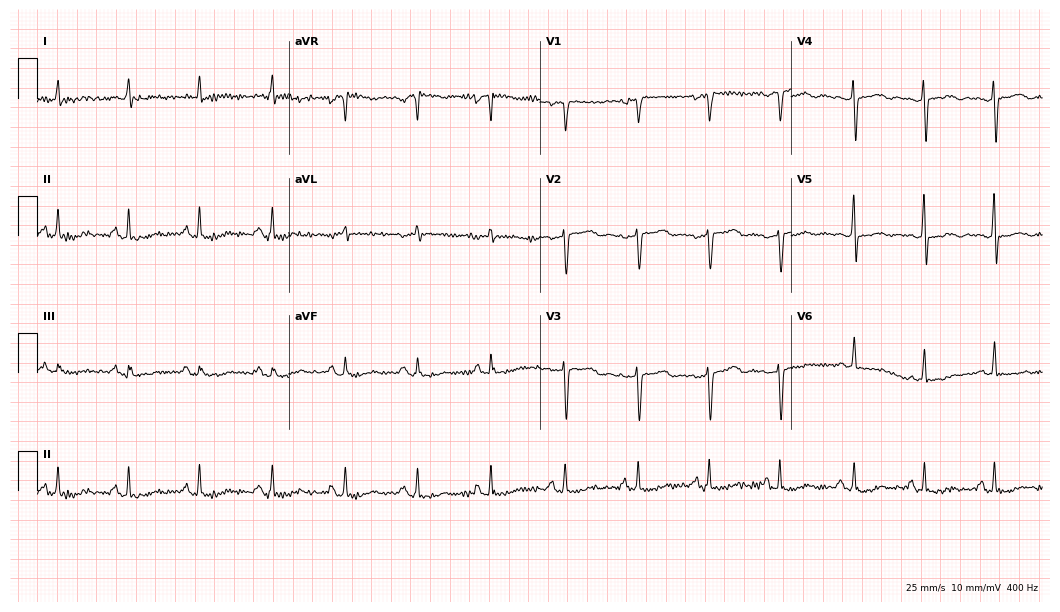
12-lead ECG from a 49-year-old woman. Labelled as a normal ECG.